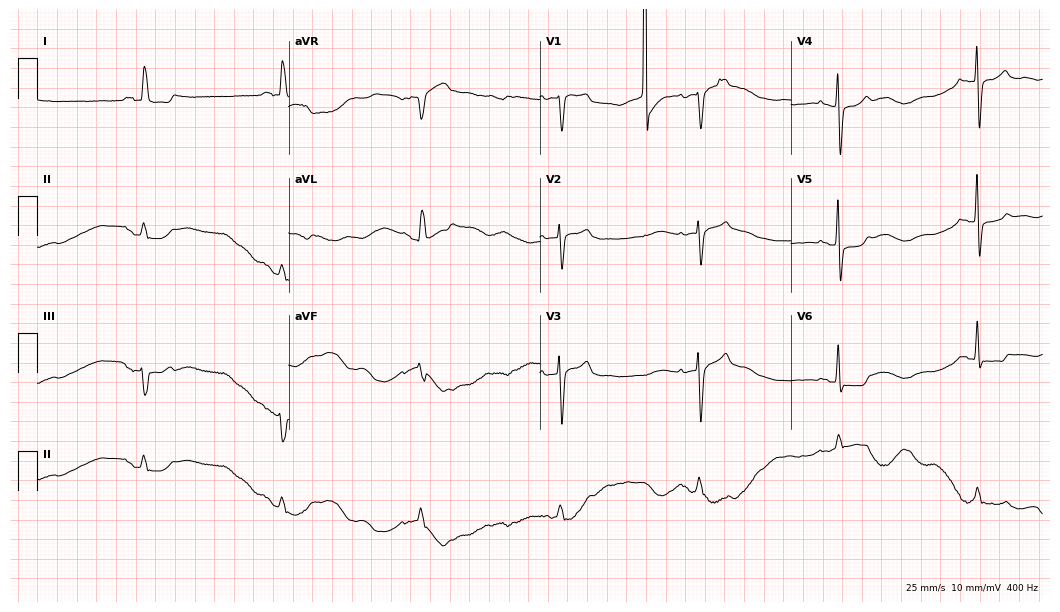
Electrocardiogram (10.2-second recording at 400 Hz), a 75-year-old female patient. Of the six screened findings (first-degree AV block, right bundle branch block, left bundle branch block, sinus bradycardia, atrial fibrillation, sinus tachycardia), none is recorded.